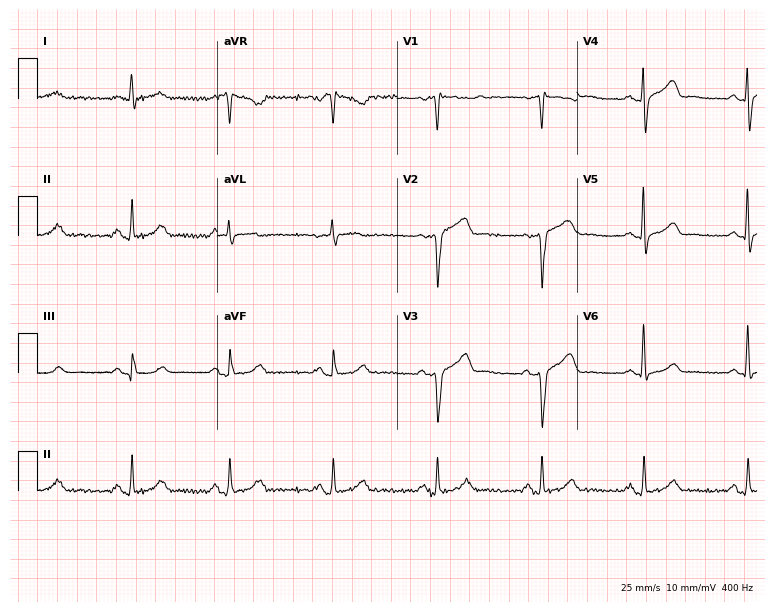
12-lead ECG from a male, 73 years old. No first-degree AV block, right bundle branch block (RBBB), left bundle branch block (LBBB), sinus bradycardia, atrial fibrillation (AF) or sinus tachycardia recorded for this tracing. Only these six findings were labelled.